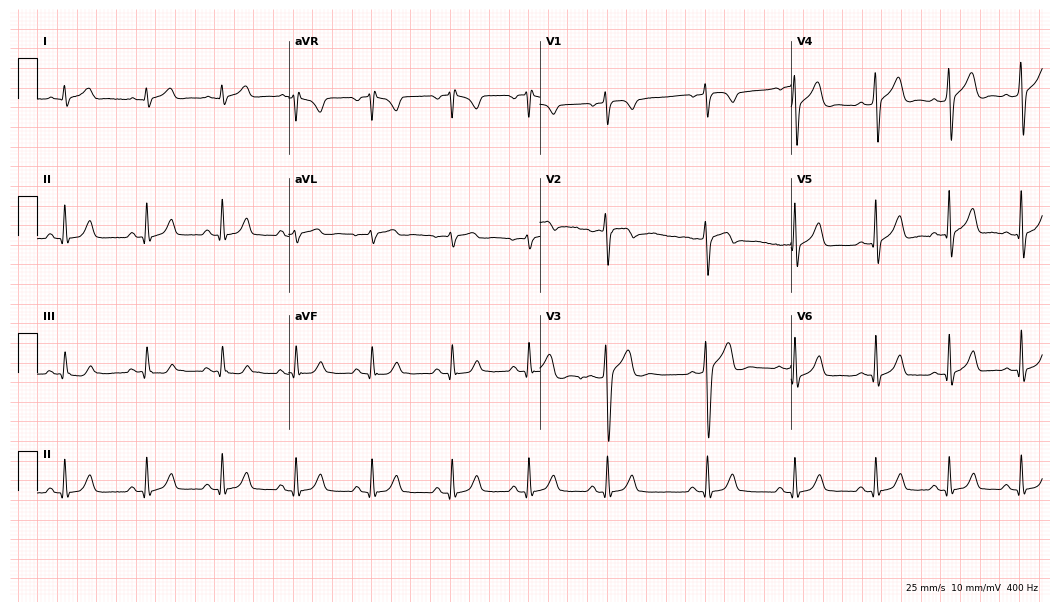
12-lead ECG from a 24-year-old man. Labelled as a normal ECG.